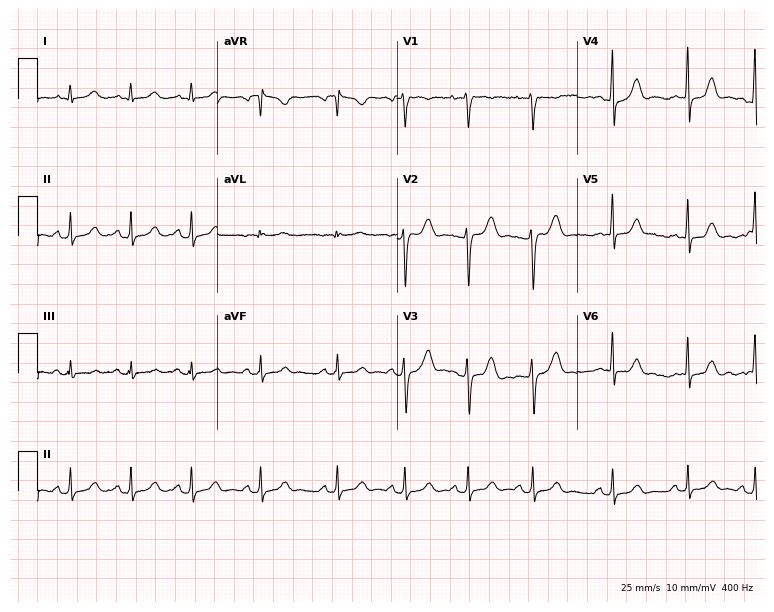
Resting 12-lead electrocardiogram (7.3-second recording at 400 Hz). Patient: a 19-year-old female. Read as a normal ECG.